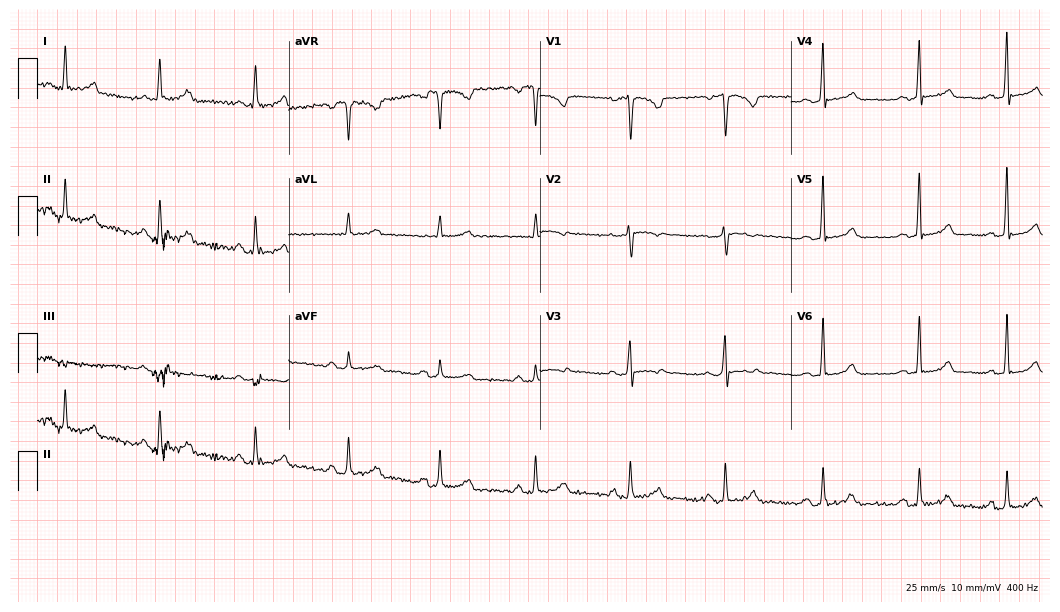
Resting 12-lead electrocardiogram (10.2-second recording at 400 Hz). Patient: a 47-year-old female. None of these six findings is recorded: first-degree AV block, right bundle branch block (RBBB), left bundle branch block (LBBB), sinus bradycardia, atrial fibrillation (AF), sinus tachycardia.